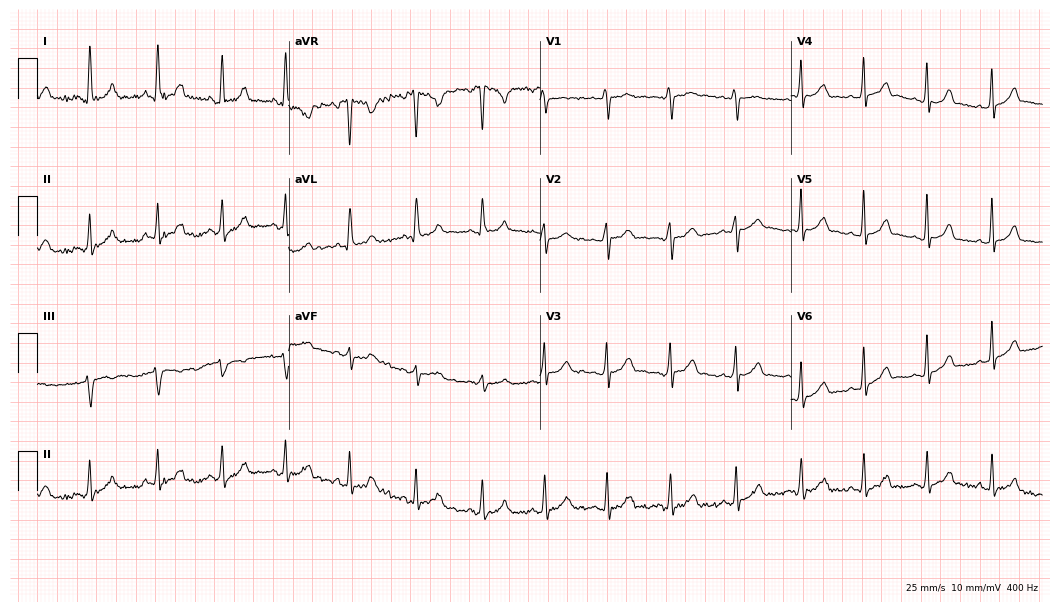
Resting 12-lead electrocardiogram (10.2-second recording at 400 Hz). Patient: a man, 27 years old. None of these six findings is recorded: first-degree AV block, right bundle branch block (RBBB), left bundle branch block (LBBB), sinus bradycardia, atrial fibrillation (AF), sinus tachycardia.